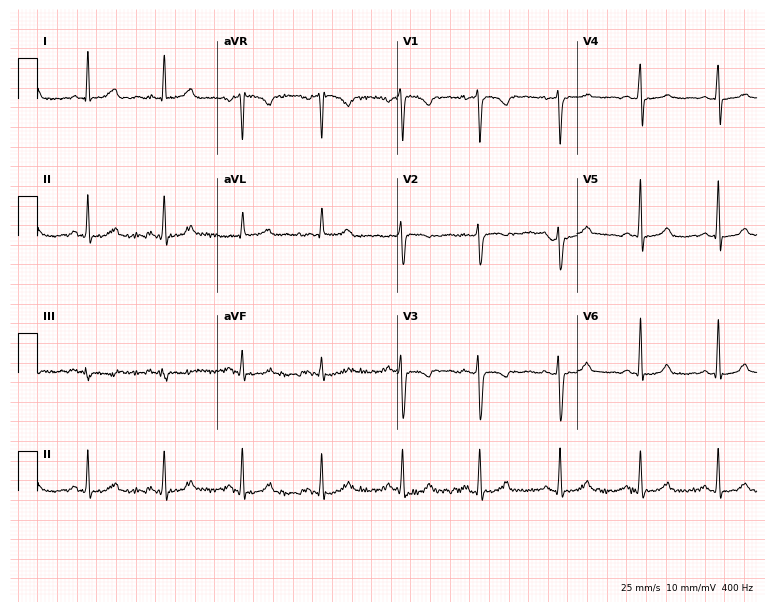
Standard 12-lead ECG recorded from a woman, 29 years old. Read as a normal ECG.